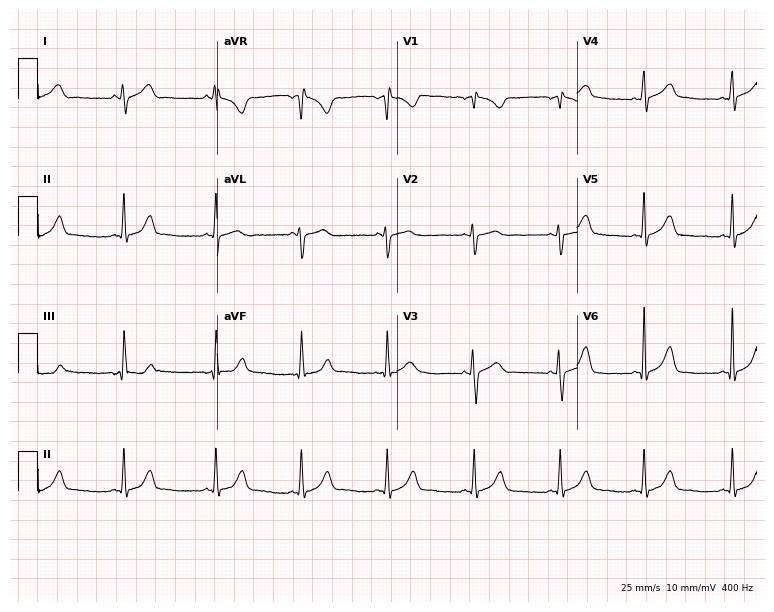
Resting 12-lead electrocardiogram. Patient: a female, 21 years old. Read as a normal ECG.